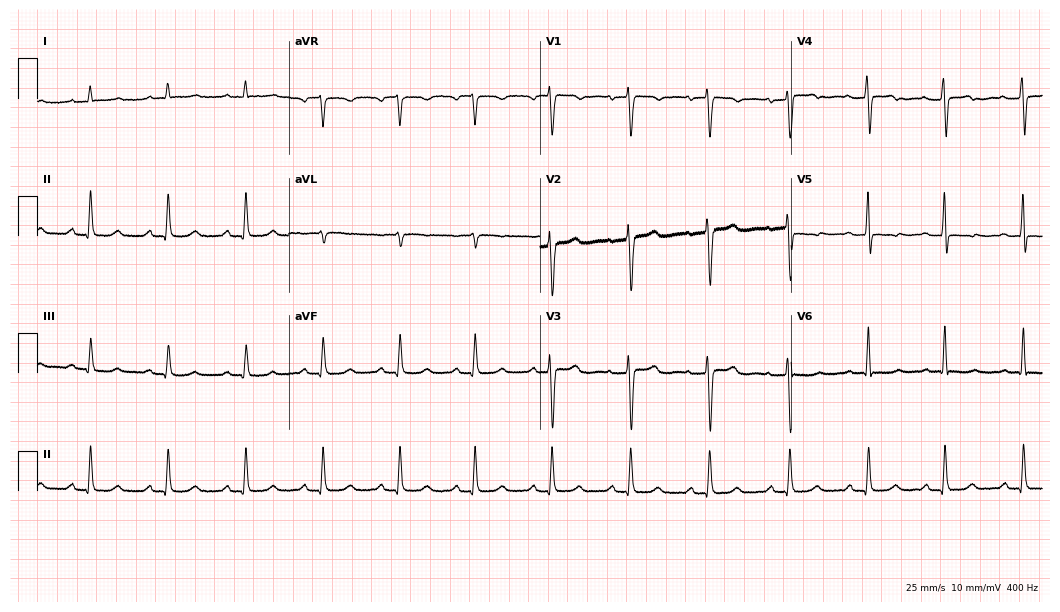
Resting 12-lead electrocardiogram (10.2-second recording at 400 Hz). Patient: a 51-year-old female. None of these six findings is recorded: first-degree AV block, right bundle branch block (RBBB), left bundle branch block (LBBB), sinus bradycardia, atrial fibrillation (AF), sinus tachycardia.